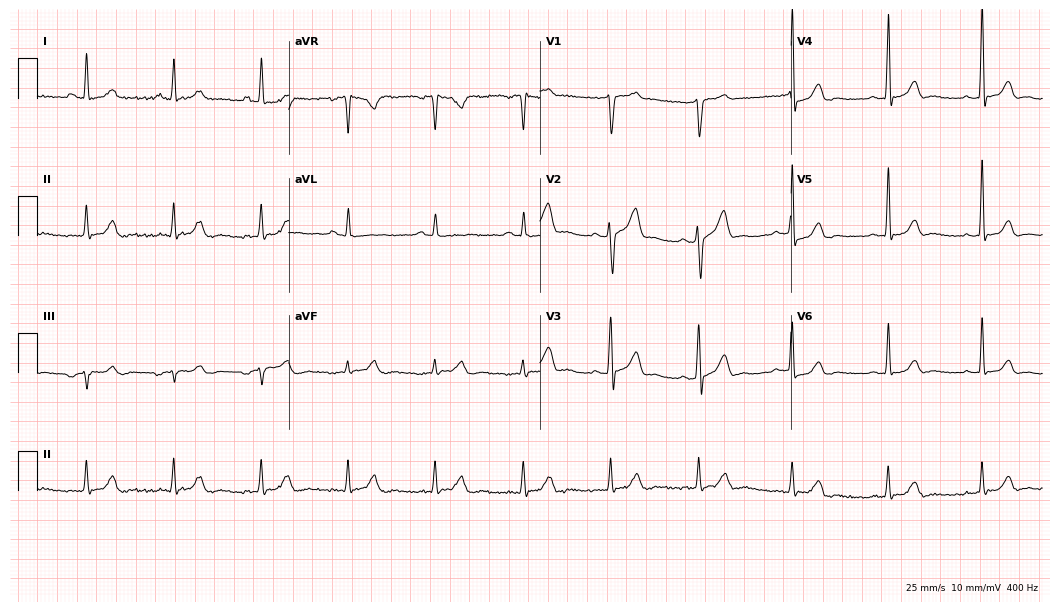
Electrocardiogram, a 64-year-old male. Overall reading on record: normal ECG.